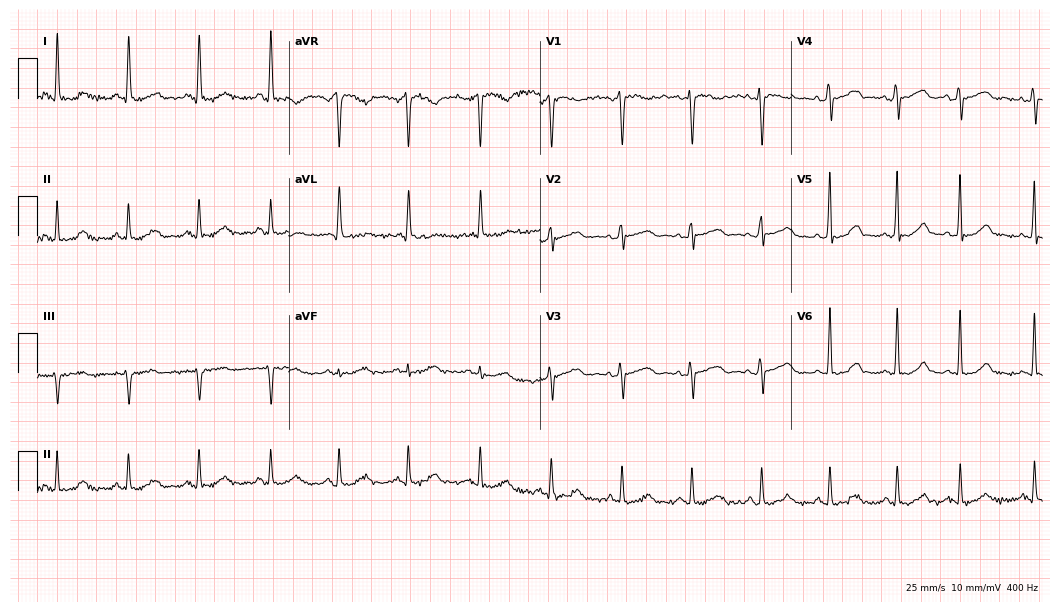
ECG (10.2-second recording at 400 Hz) — a woman, 46 years old. Labelled as a normal ECG.